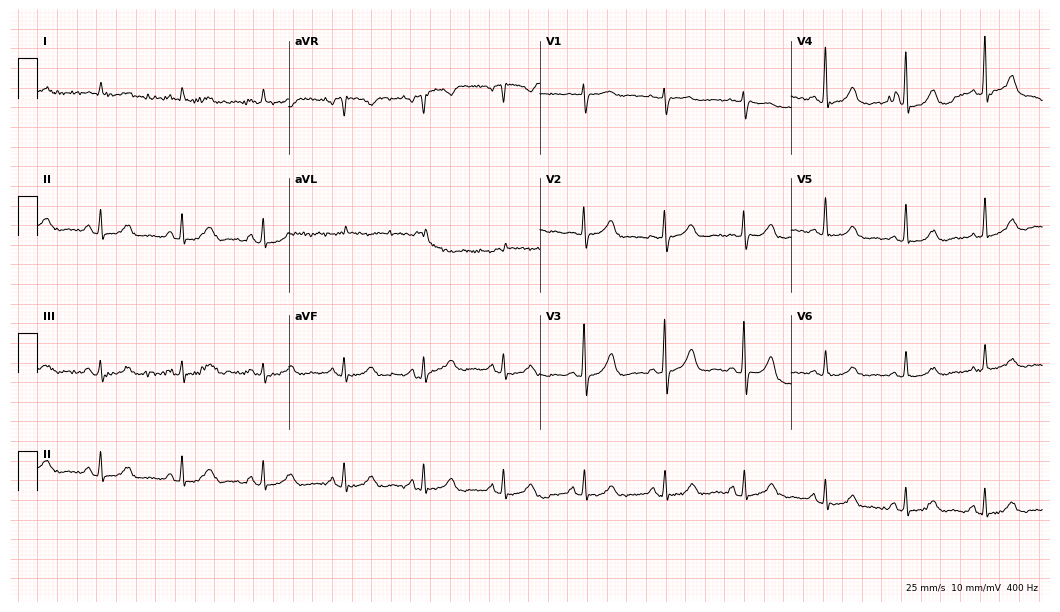
12-lead ECG from a woman, 78 years old (10.2-second recording at 400 Hz). No first-degree AV block, right bundle branch block (RBBB), left bundle branch block (LBBB), sinus bradycardia, atrial fibrillation (AF) or sinus tachycardia recorded for this tracing. Findings outside these six are not listed.